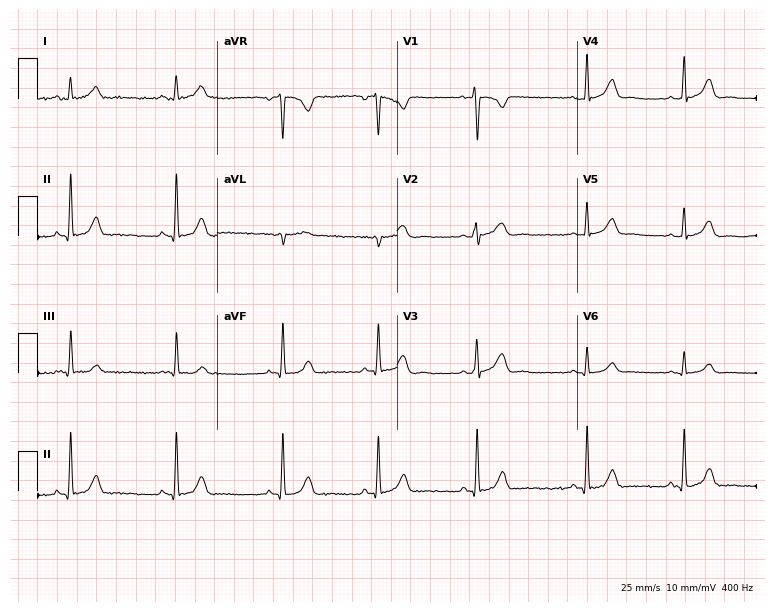
ECG — a female patient, 20 years old. Screened for six findings — first-degree AV block, right bundle branch block, left bundle branch block, sinus bradycardia, atrial fibrillation, sinus tachycardia — none is recorded. Only these six findings were labelled.